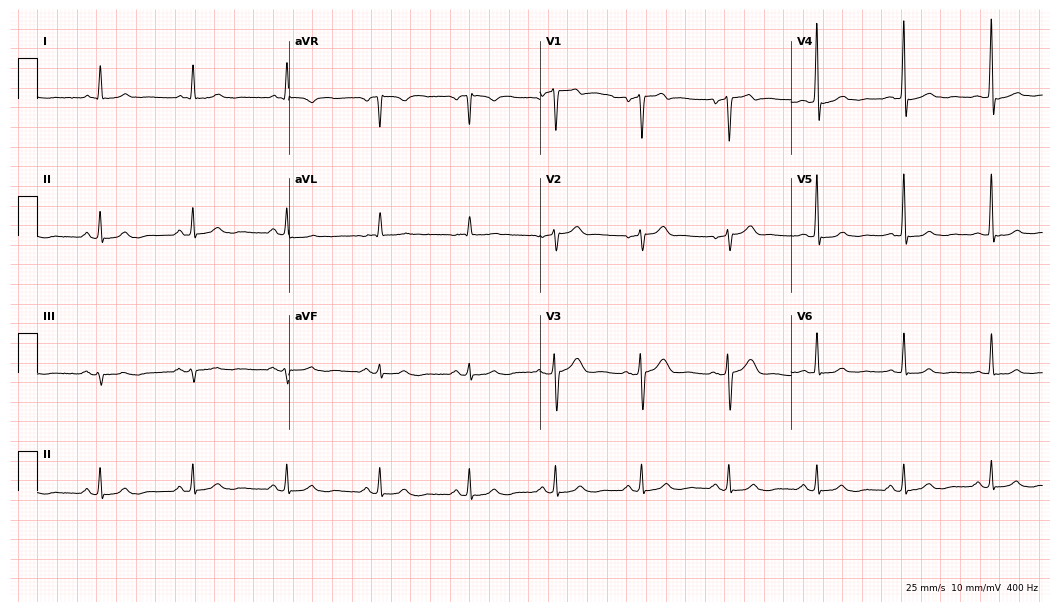
Resting 12-lead electrocardiogram. Patient: a 49-year-old man. Read as a normal ECG.